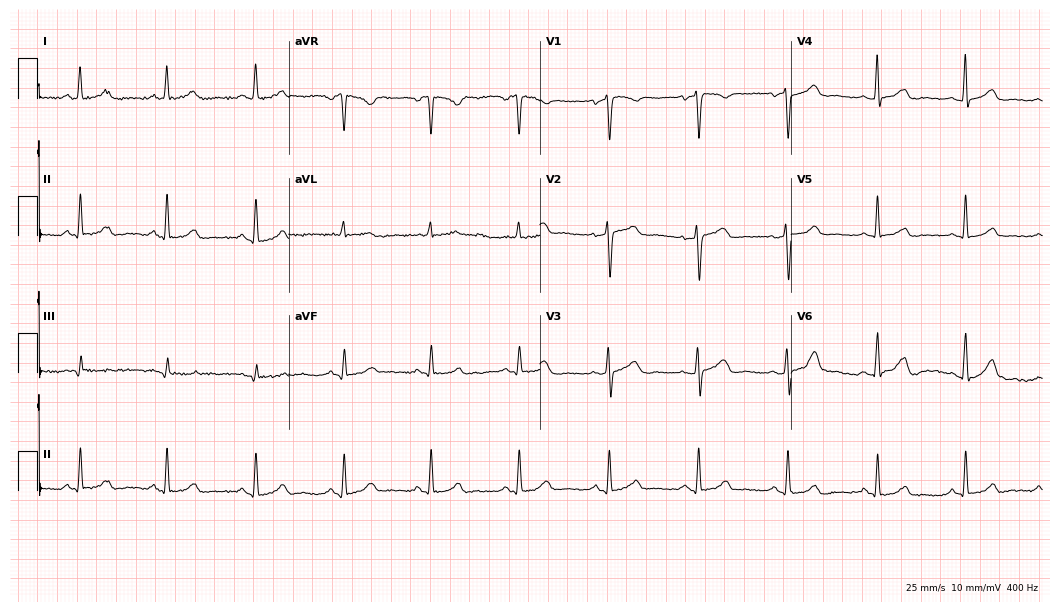
ECG — a female, 46 years old. Labelled as a normal ECG.